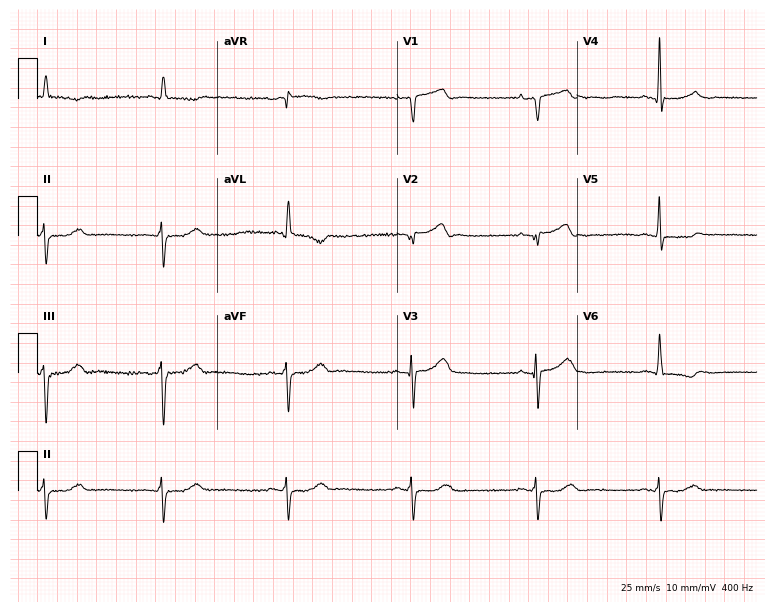
Electrocardiogram, a 76-year-old man. Interpretation includes sinus bradycardia (a sinus rate of 50 beats per minute or less).